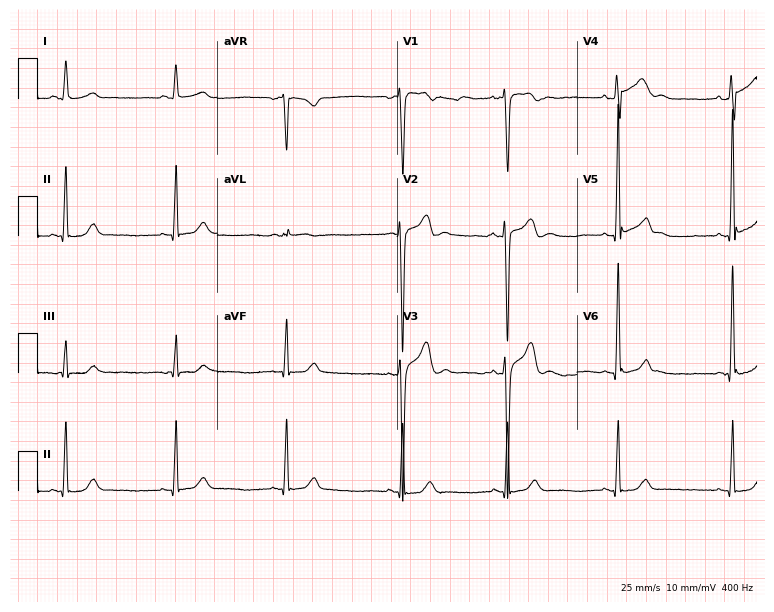
ECG — a male, 25 years old. Screened for six findings — first-degree AV block, right bundle branch block, left bundle branch block, sinus bradycardia, atrial fibrillation, sinus tachycardia — none is recorded. Only these six findings were labelled.